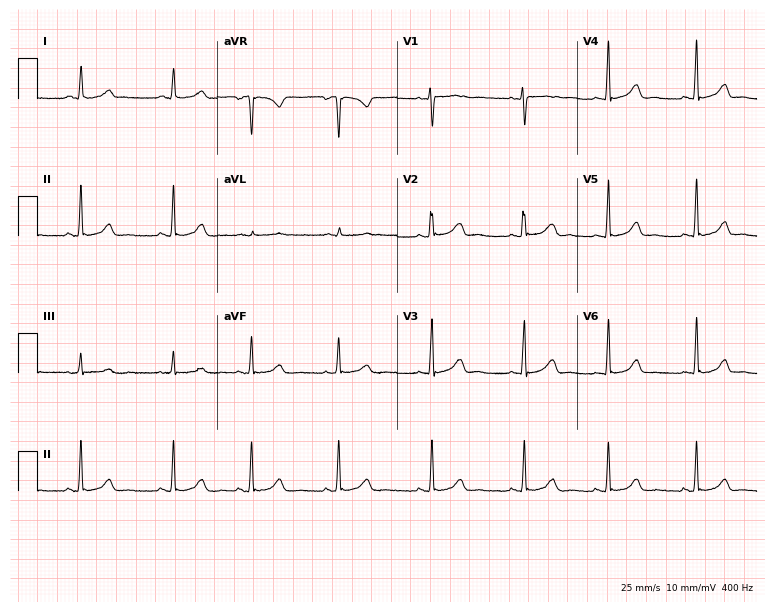
12-lead ECG (7.3-second recording at 400 Hz) from a 20-year-old female. Labelled as a normal ECG.